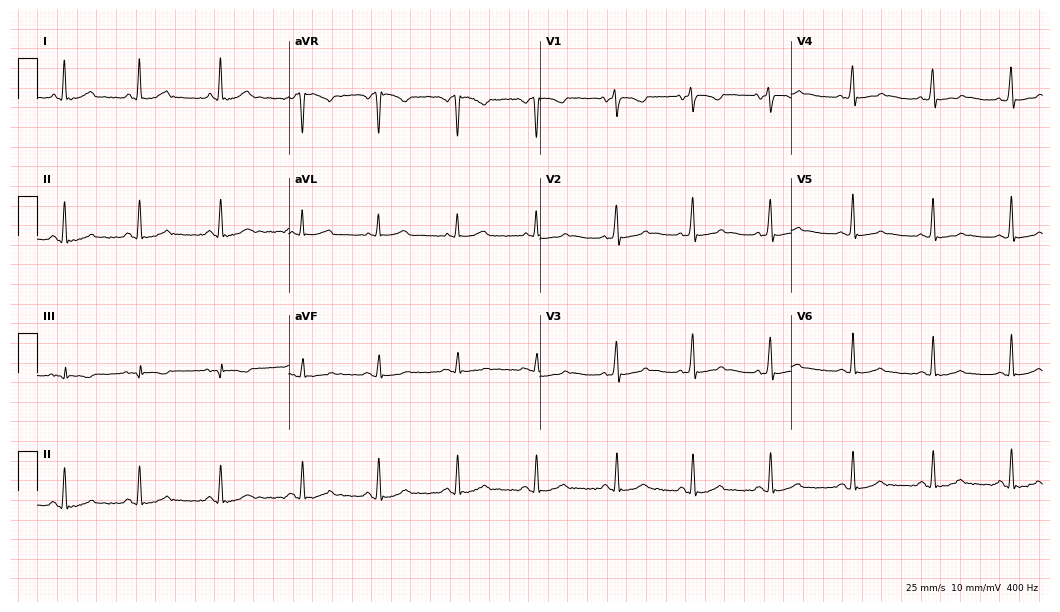
Resting 12-lead electrocardiogram. Patient: a woman, 46 years old. None of these six findings is recorded: first-degree AV block, right bundle branch block, left bundle branch block, sinus bradycardia, atrial fibrillation, sinus tachycardia. Findings outside these six are not listed.